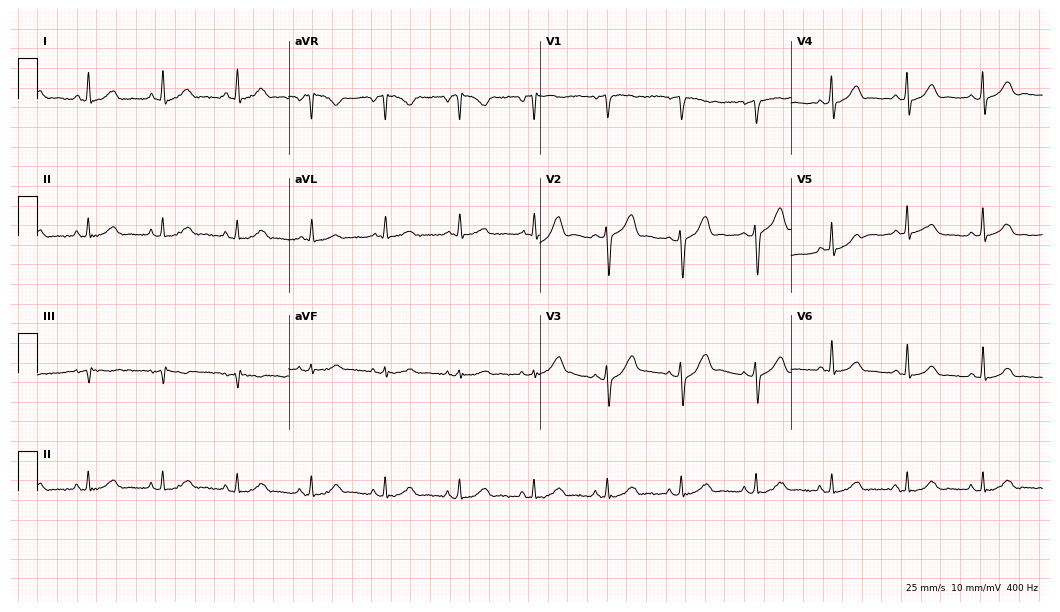
ECG — a female patient, 41 years old. Labelled as a normal ECG.